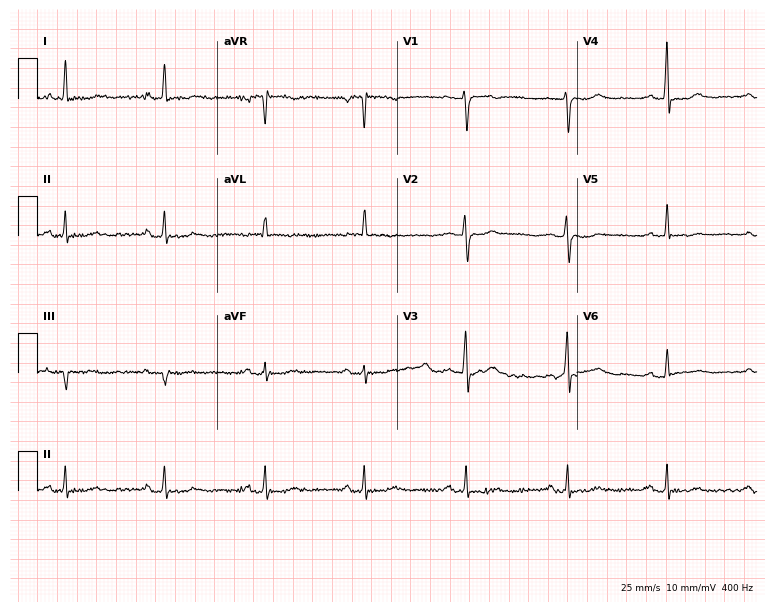
12-lead ECG from a woman, 48 years old (7.3-second recording at 400 Hz). No first-degree AV block, right bundle branch block (RBBB), left bundle branch block (LBBB), sinus bradycardia, atrial fibrillation (AF) or sinus tachycardia recorded for this tracing.